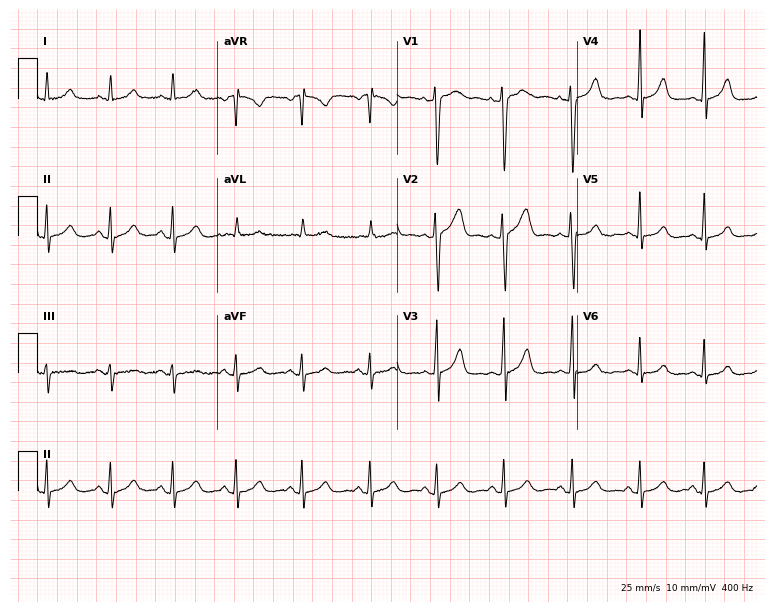
12-lead ECG from a female patient, 46 years old. Screened for six findings — first-degree AV block, right bundle branch block, left bundle branch block, sinus bradycardia, atrial fibrillation, sinus tachycardia — none is recorded. Findings outside these six are not listed.